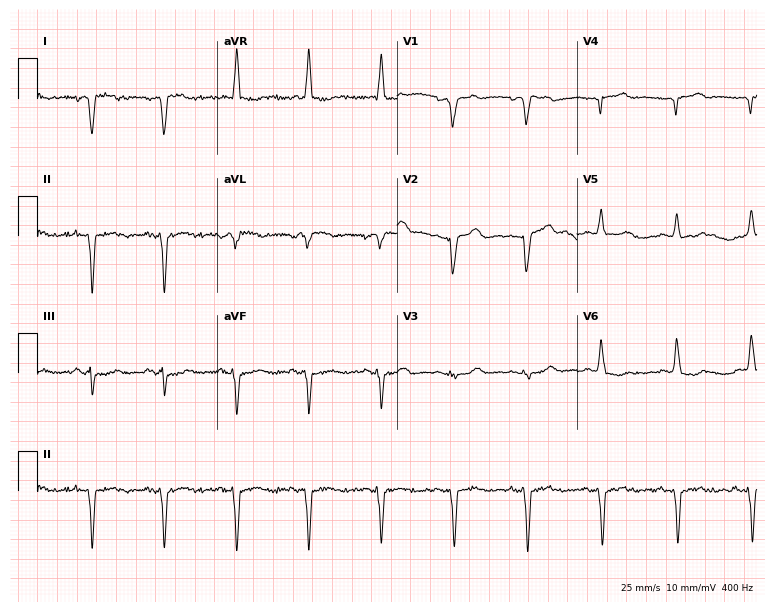
Electrocardiogram (7.3-second recording at 400 Hz), a male, 67 years old. Of the six screened findings (first-degree AV block, right bundle branch block (RBBB), left bundle branch block (LBBB), sinus bradycardia, atrial fibrillation (AF), sinus tachycardia), none is recorded. Only these six findings were labelled.